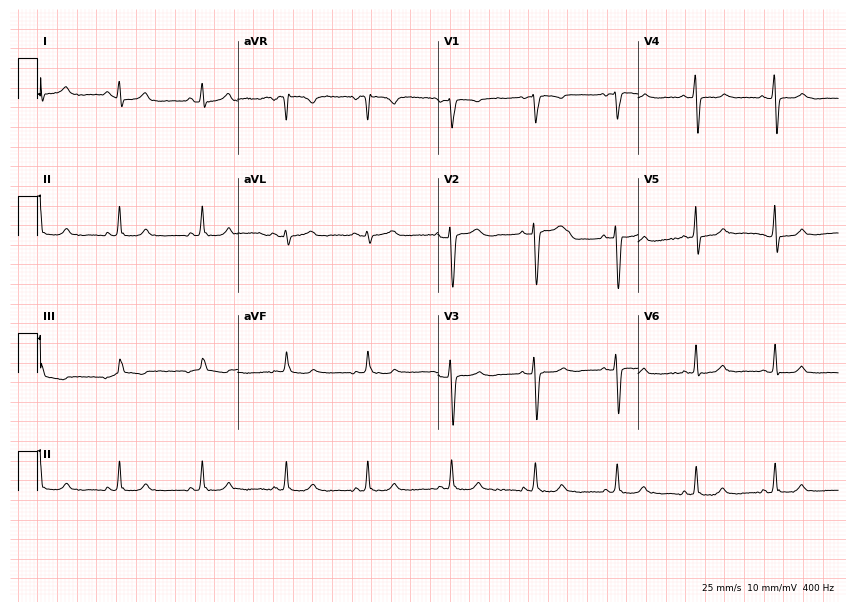
ECG — a 49-year-old female. Labelled as a normal ECG.